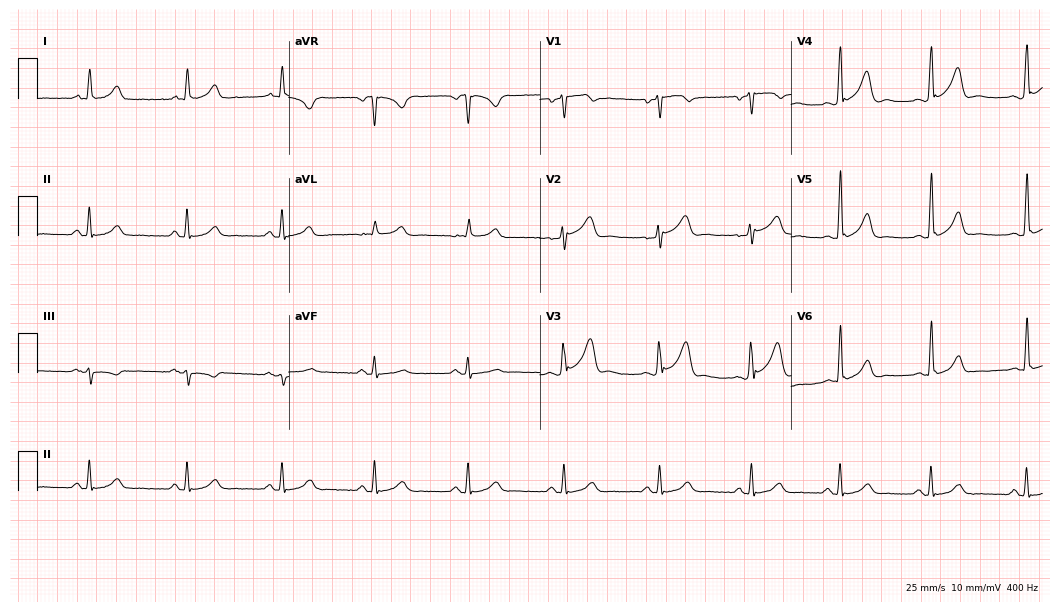
Standard 12-lead ECG recorded from a 43-year-old male (10.2-second recording at 400 Hz). Read as a normal ECG.